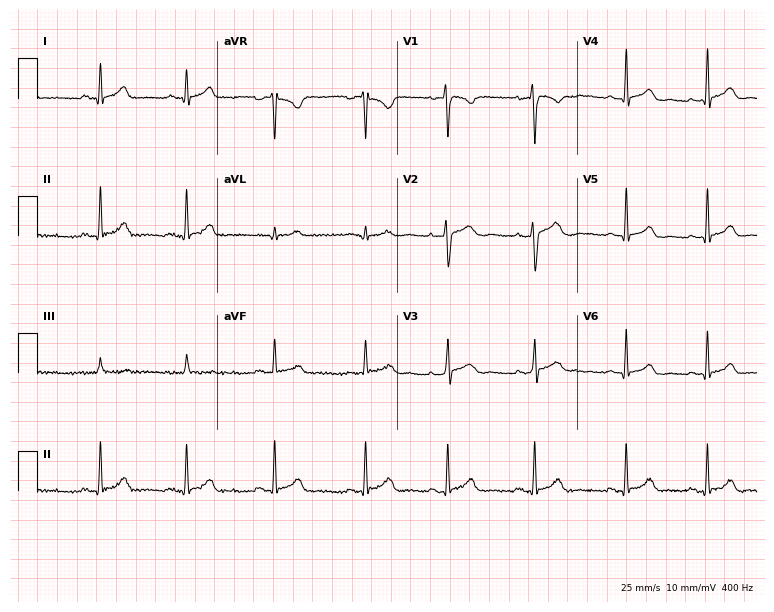
Electrocardiogram (7.3-second recording at 400 Hz), a female patient, 31 years old. Overall reading on record: normal ECG.